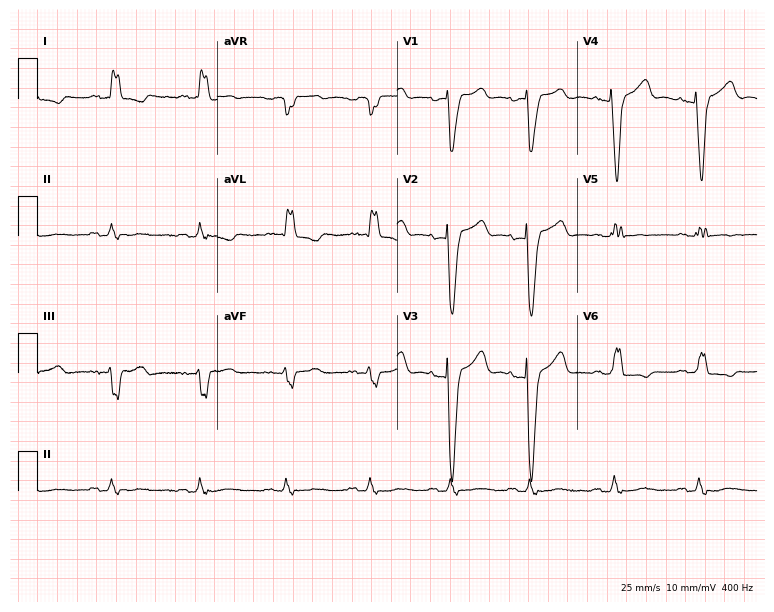
Standard 12-lead ECG recorded from a female, 67 years old (7.3-second recording at 400 Hz). The tracing shows left bundle branch block.